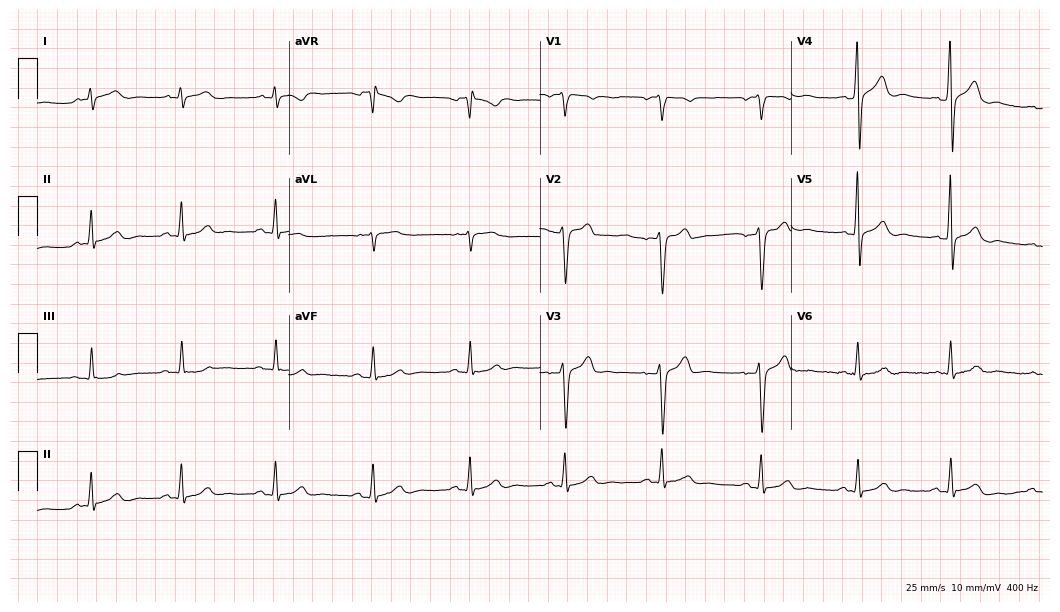
Standard 12-lead ECG recorded from a 31-year-old male patient (10.2-second recording at 400 Hz). Read as a normal ECG.